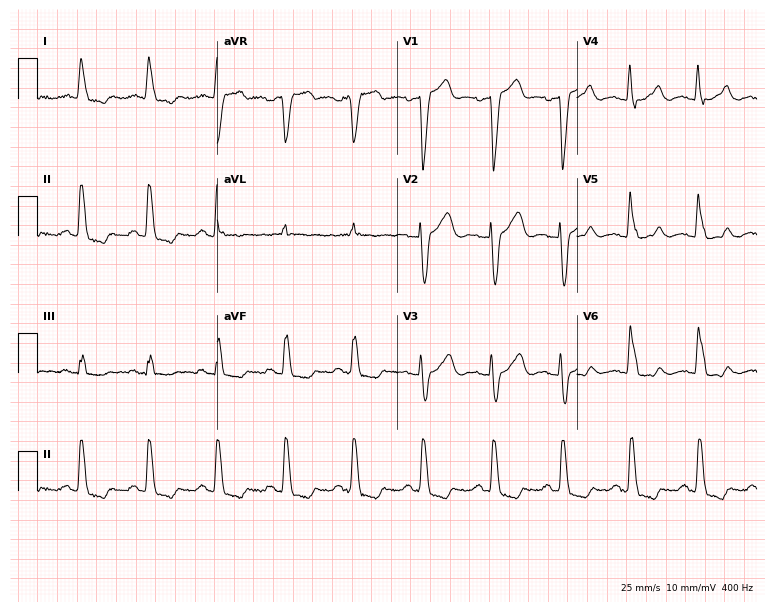
12-lead ECG from an 82-year-old woman. Shows left bundle branch block (LBBB).